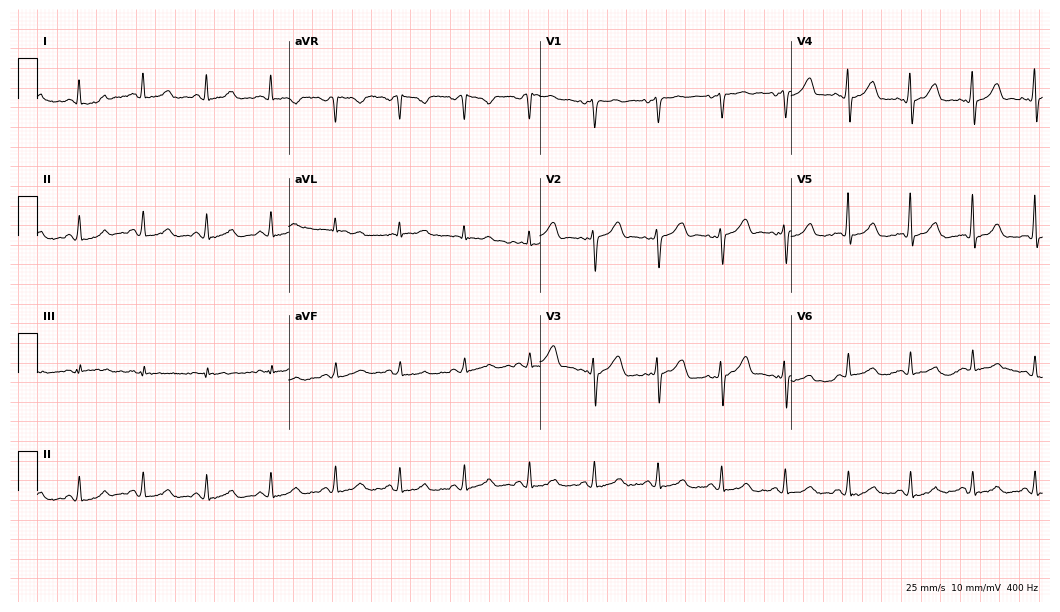
Electrocardiogram (10.2-second recording at 400 Hz), a female patient, 36 years old. Overall reading on record: normal ECG.